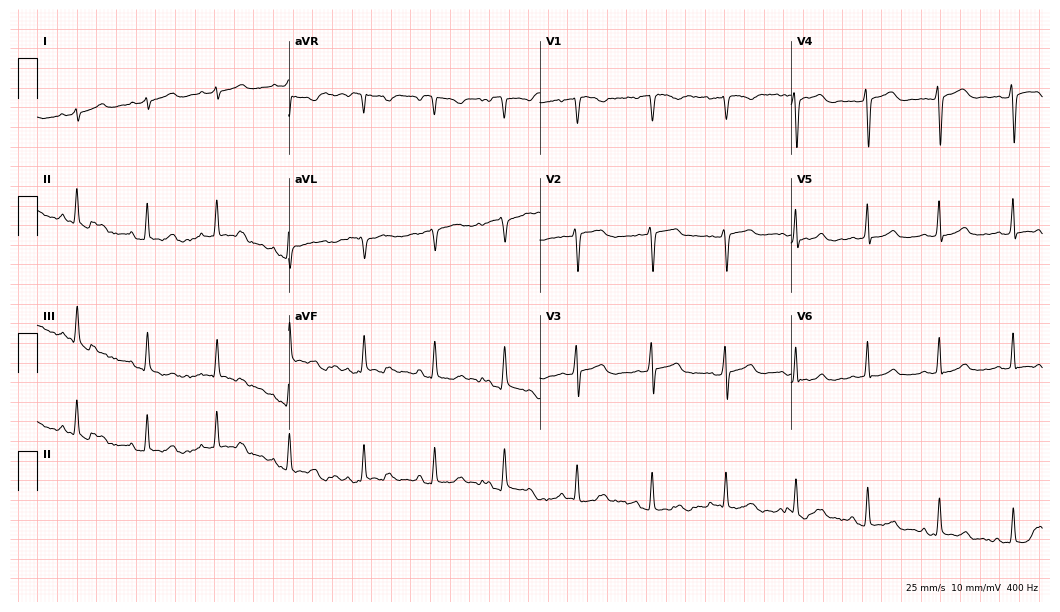
12-lead ECG (10.2-second recording at 400 Hz) from a 34-year-old female. Screened for six findings — first-degree AV block, right bundle branch block, left bundle branch block, sinus bradycardia, atrial fibrillation, sinus tachycardia — none is recorded.